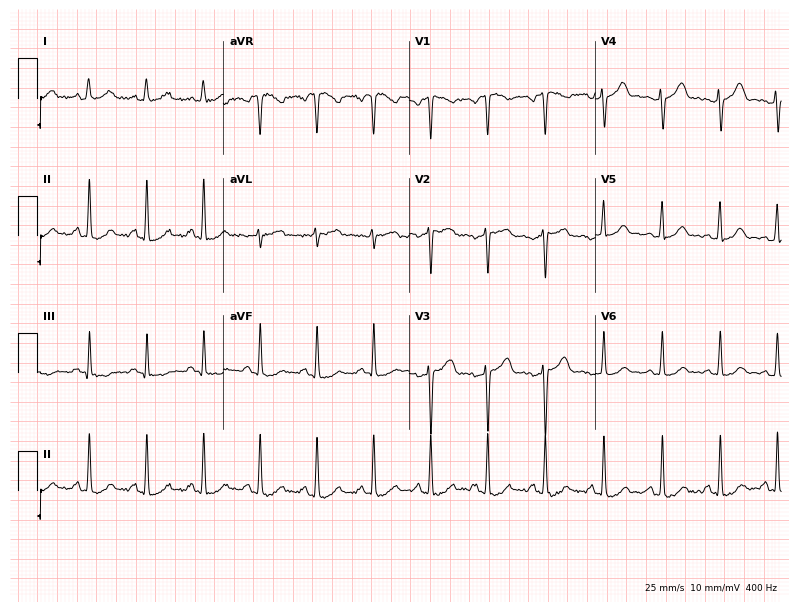
Standard 12-lead ECG recorded from a female, 23 years old (7.6-second recording at 400 Hz). The tracing shows sinus tachycardia (a sinus rate of 100 beats per minute or more).